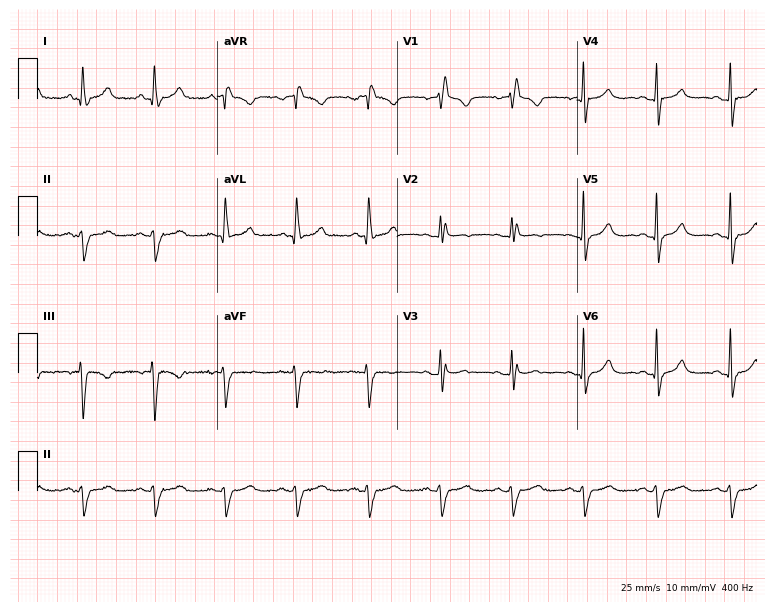
ECG — a woman, 54 years old. Findings include right bundle branch block (RBBB).